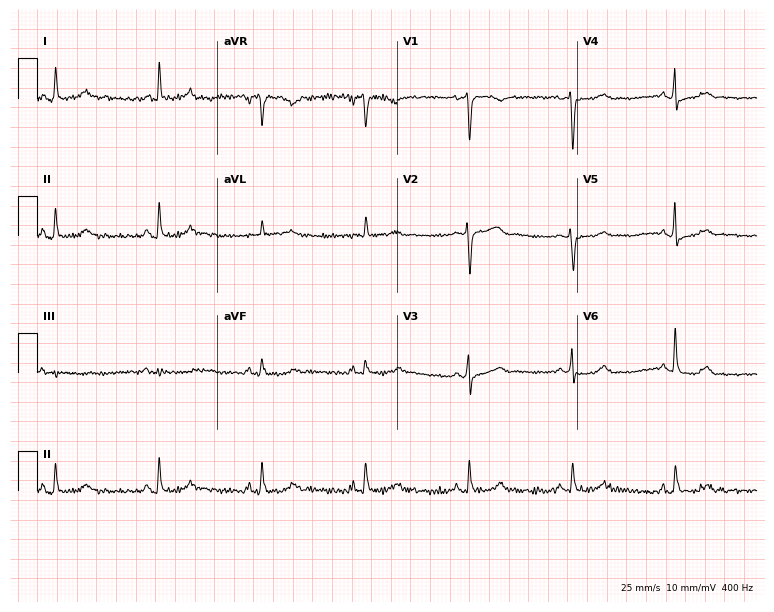
Electrocardiogram (7.3-second recording at 400 Hz), an 80-year-old female. Overall reading on record: normal ECG.